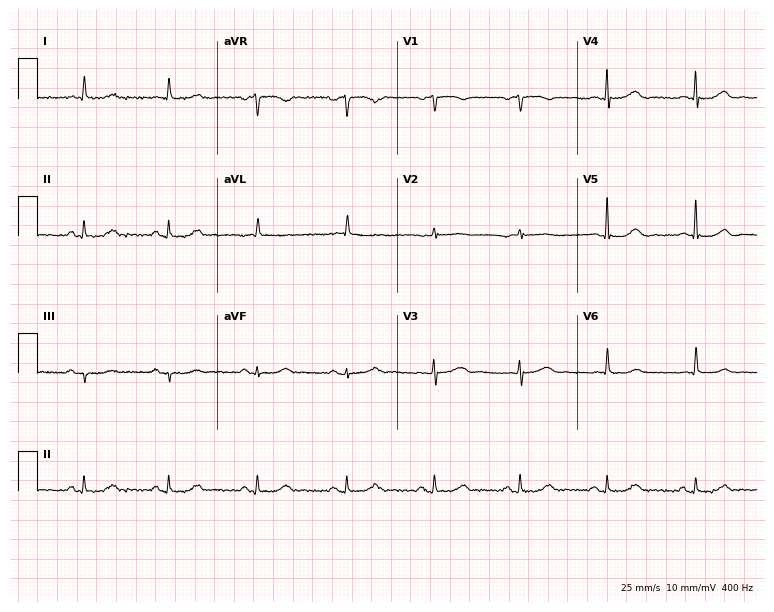
12-lead ECG (7.3-second recording at 400 Hz) from a female patient, 80 years old. Screened for six findings — first-degree AV block, right bundle branch block (RBBB), left bundle branch block (LBBB), sinus bradycardia, atrial fibrillation (AF), sinus tachycardia — none is recorded. Findings outside these six are not listed.